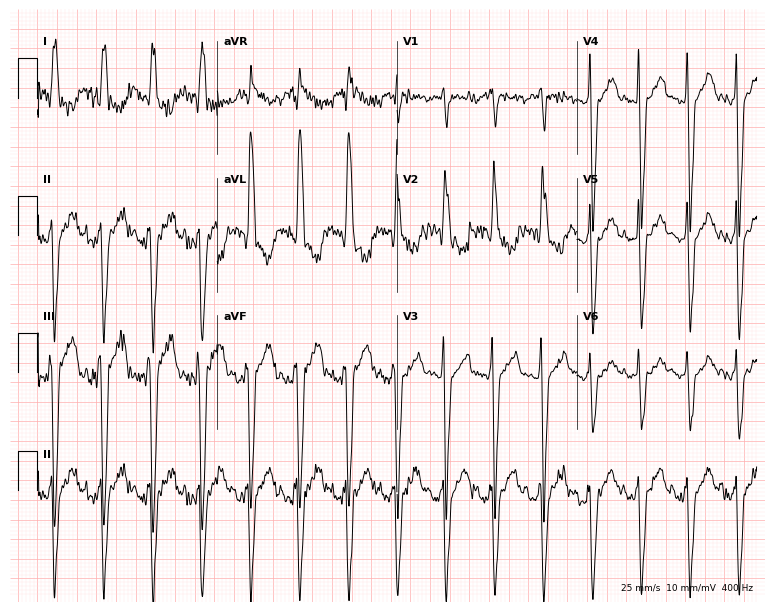
12-lead ECG from a 59-year-old woman. Findings include right bundle branch block (RBBB), sinus tachycardia (a sinus rate of 100 beats per minute or more).